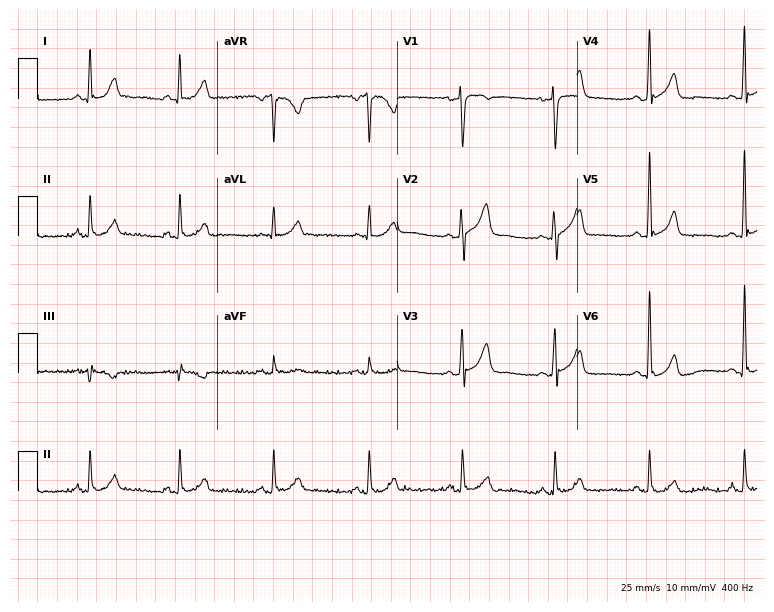
Resting 12-lead electrocardiogram. Patient: a man, 35 years old. Read as a normal ECG.